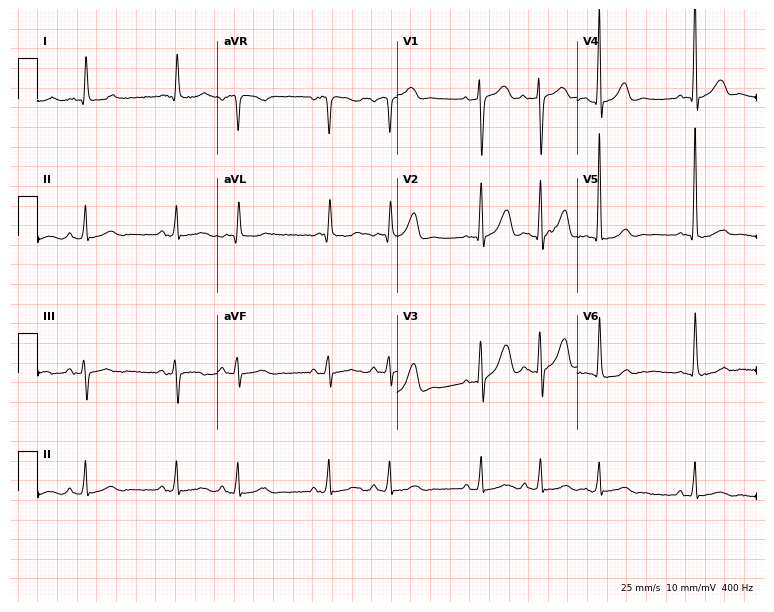
Resting 12-lead electrocardiogram. Patient: a female, 85 years old. None of these six findings is recorded: first-degree AV block, right bundle branch block, left bundle branch block, sinus bradycardia, atrial fibrillation, sinus tachycardia. Only these six findings were labelled.